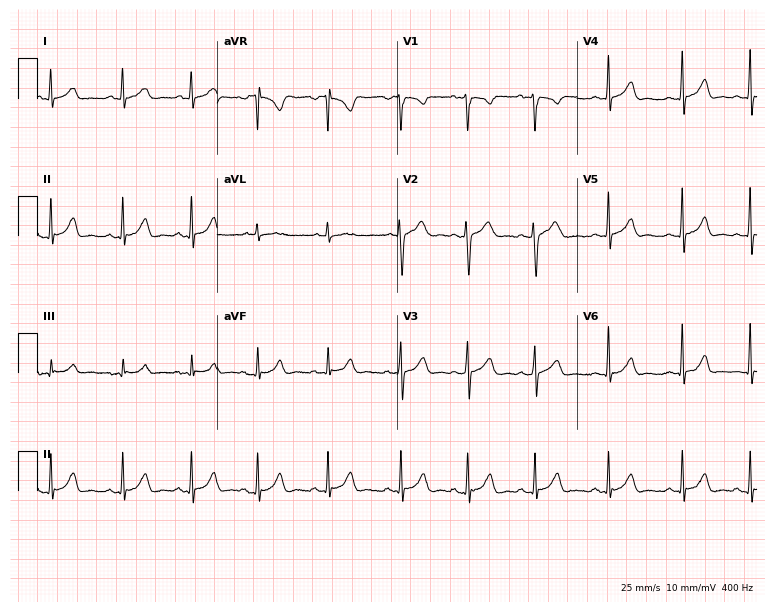
Standard 12-lead ECG recorded from a female patient, 17 years old (7.3-second recording at 400 Hz). Read as a normal ECG.